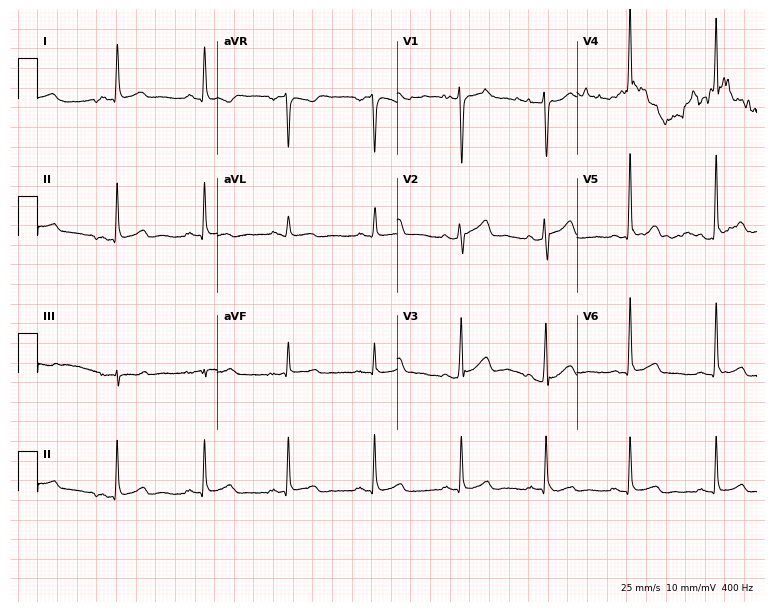
Electrocardiogram (7.3-second recording at 400 Hz), a male patient, 54 years old. Overall reading on record: normal ECG.